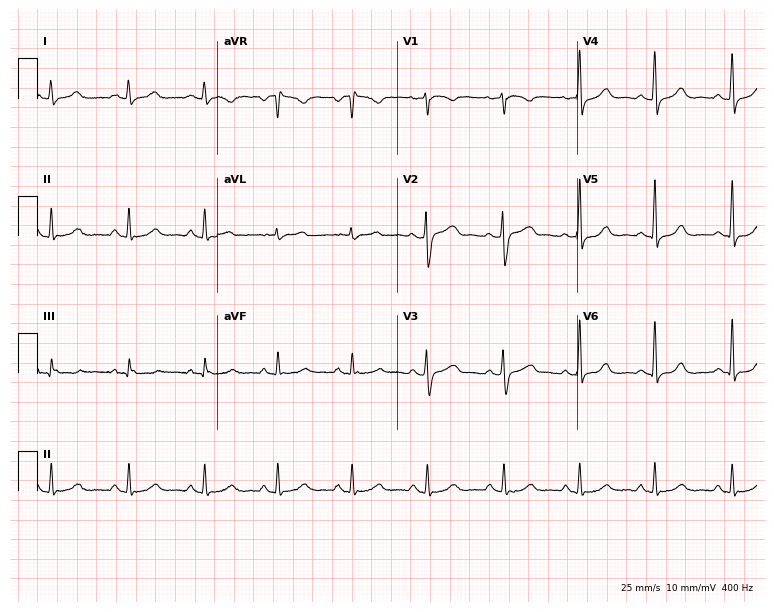
12-lead ECG from a 47-year-old woman (7.3-second recording at 400 Hz). Recorded interpretation: within normal limits.